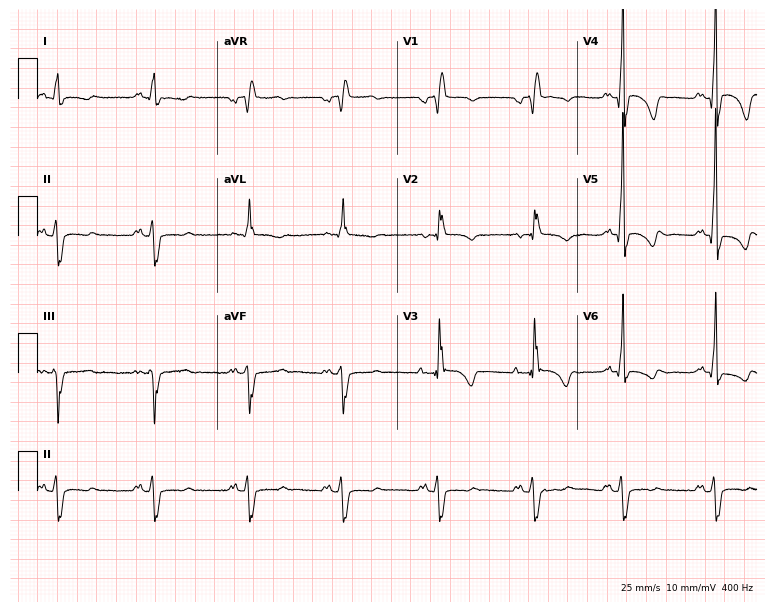
Electrocardiogram, a male patient, 70 years old. Of the six screened findings (first-degree AV block, right bundle branch block, left bundle branch block, sinus bradycardia, atrial fibrillation, sinus tachycardia), none is recorded.